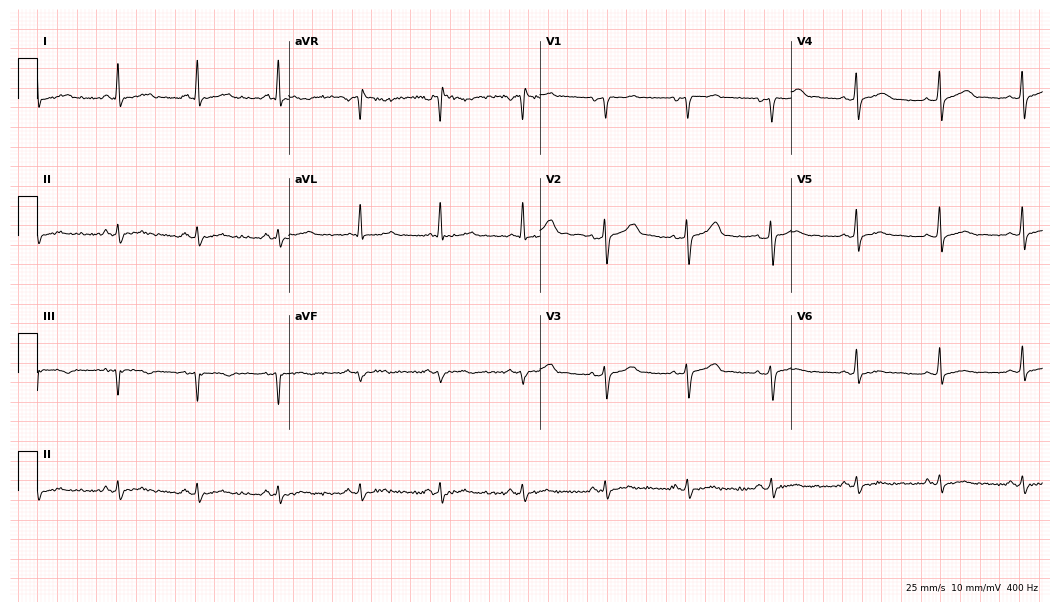
12-lead ECG from a 46-year-old male. No first-degree AV block, right bundle branch block, left bundle branch block, sinus bradycardia, atrial fibrillation or sinus tachycardia recorded for this tracing. Only these six findings were labelled.